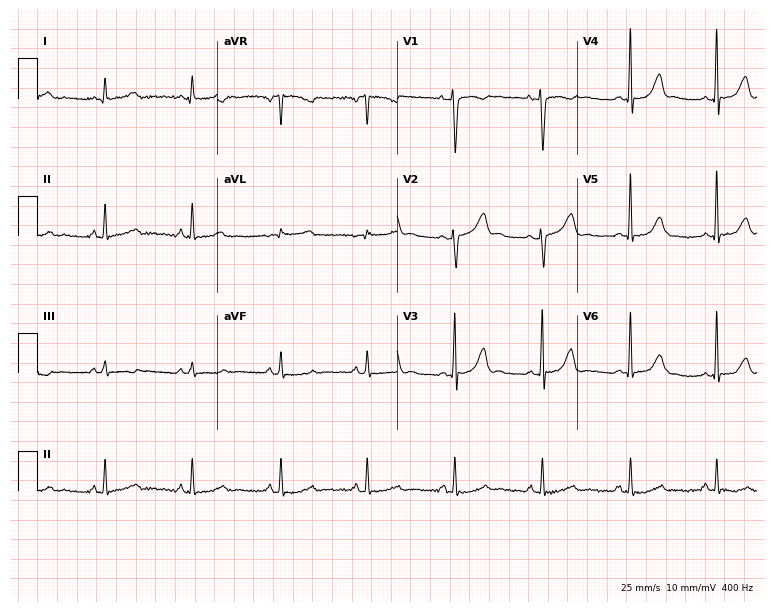
Electrocardiogram (7.3-second recording at 400 Hz), a 35-year-old female patient. Of the six screened findings (first-degree AV block, right bundle branch block, left bundle branch block, sinus bradycardia, atrial fibrillation, sinus tachycardia), none is recorded. Findings outside these six are not listed.